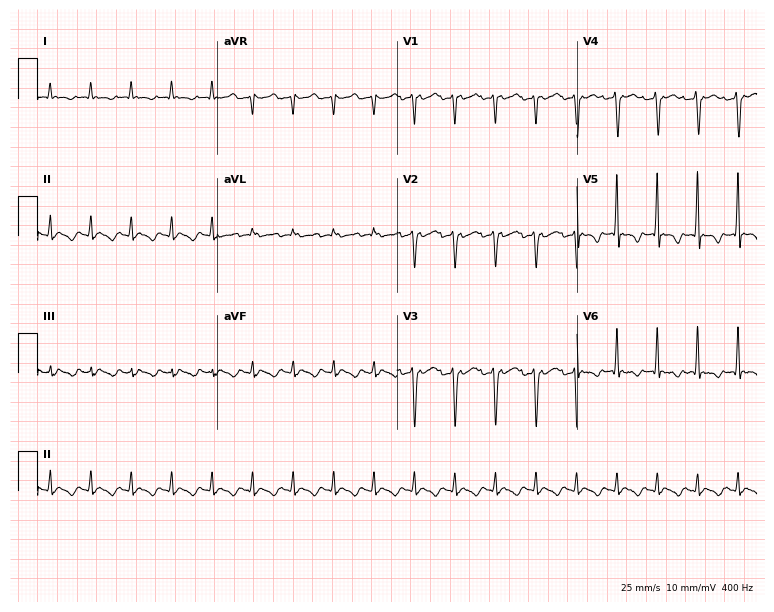
12-lead ECG from a 58-year-old male (7.3-second recording at 400 Hz). No first-degree AV block, right bundle branch block (RBBB), left bundle branch block (LBBB), sinus bradycardia, atrial fibrillation (AF) or sinus tachycardia recorded for this tracing.